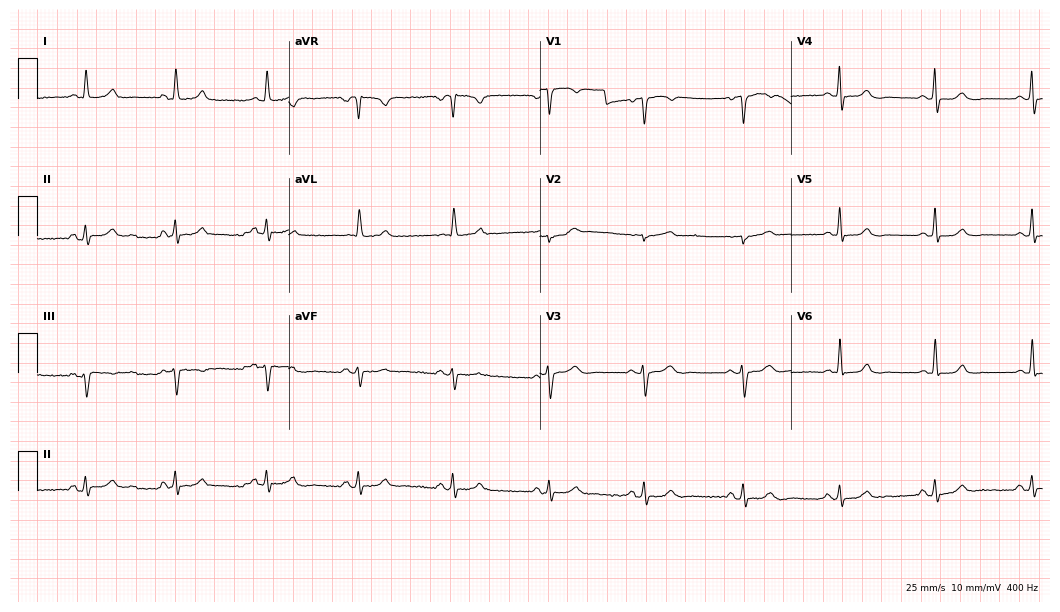
Resting 12-lead electrocardiogram (10.2-second recording at 400 Hz). Patient: a 73-year-old female. None of these six findings is recorded: first-degree AV block, right bundle branch block, left bundle branch block, sinus bradycardia, atrial fibrillation, sinus tachycardia. Only these six findings were labelled.